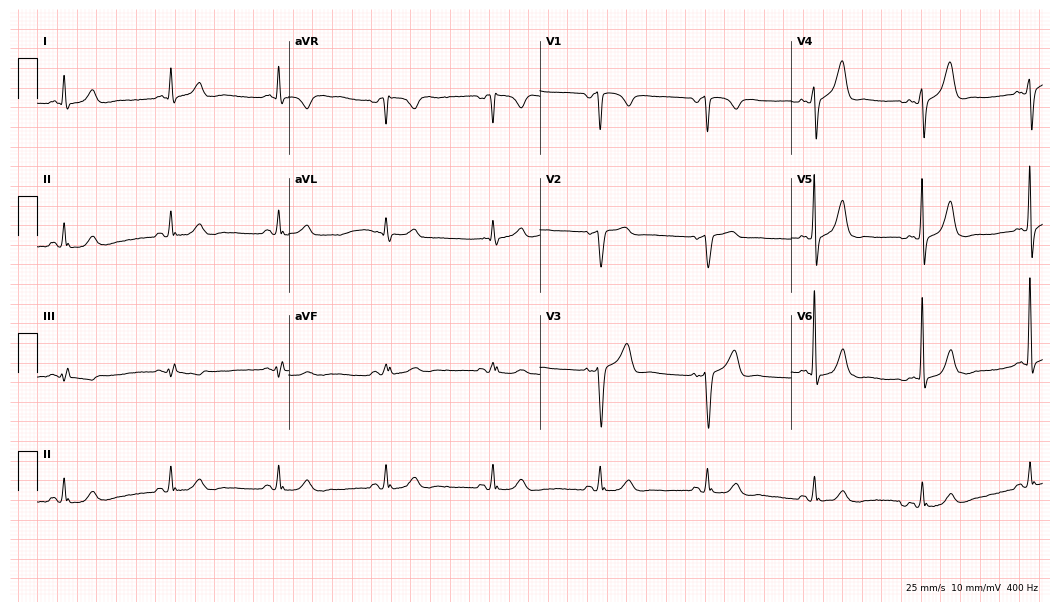
Resting 12-lead electrocardiogram (10.2-second recording at 400 Hz). Patient: a man, 69 years old. None of these six findings is recorded: first-degree AV block, right bundle branch block (RBBB), left bundle branch block (LBBB), sinus bradycardia, atrial fibrillation (AF), sinus tachycardia.